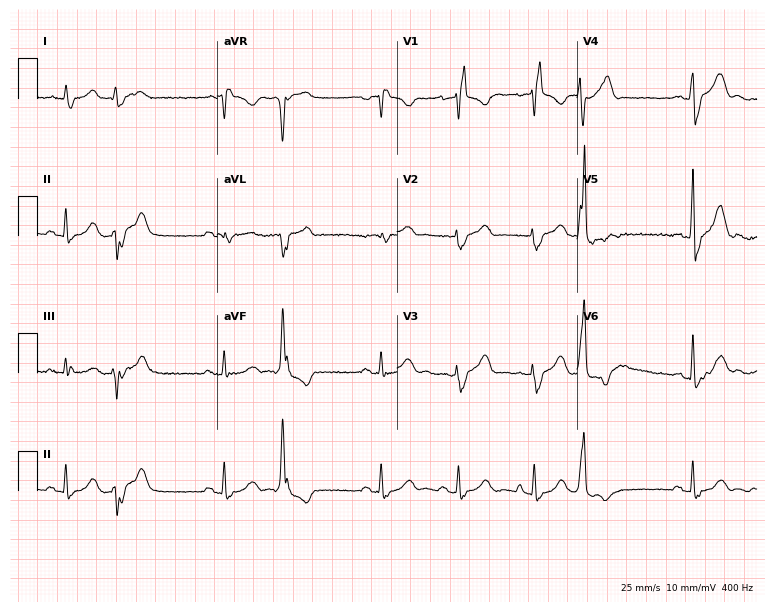
Standard 12-lead ECG recorded from a 70-year-old male patient (7.3-second recording at 400 Hz). The tracing shows right bundle branch block, atrial fibrillation.